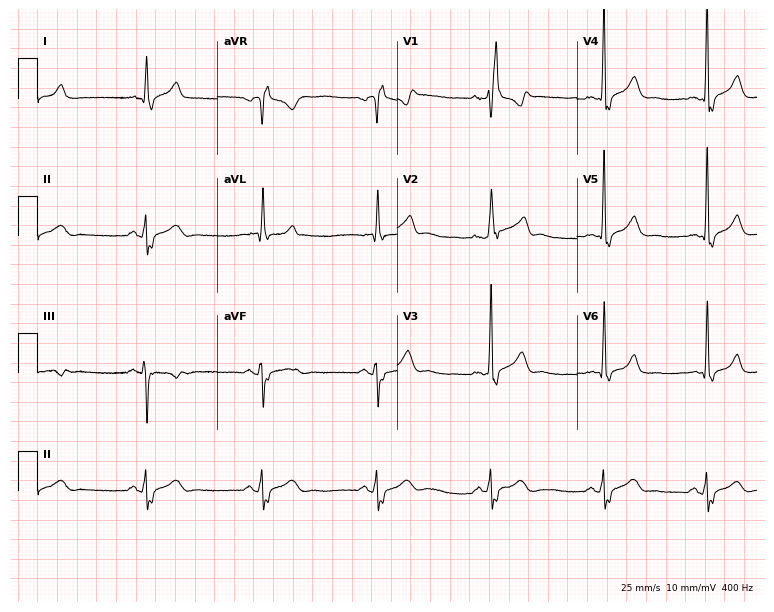
12-lead ECG from a 44-year-old man. Findings include right bundle branch block.